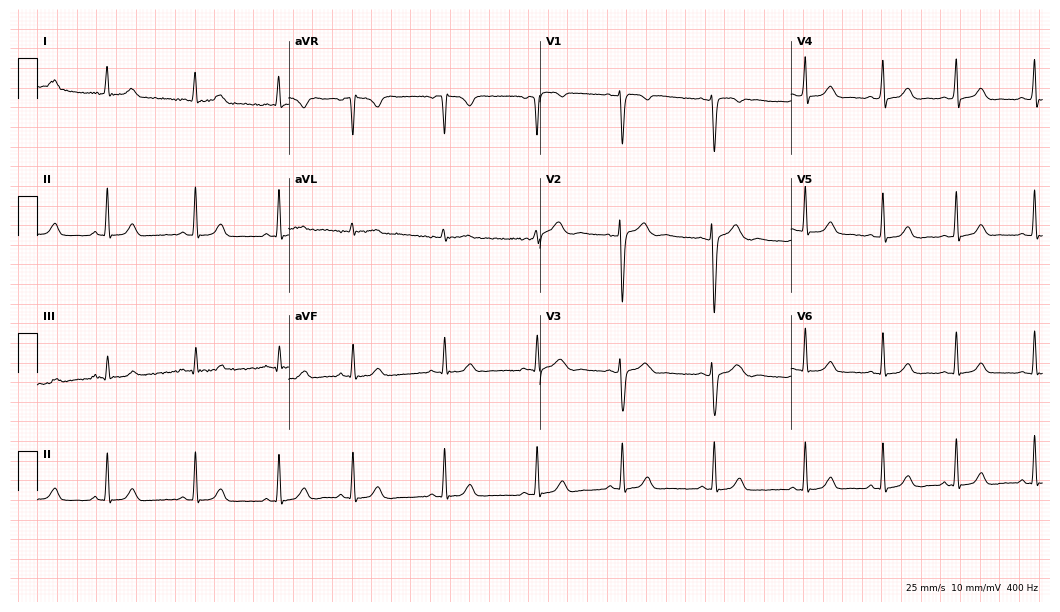
Resting 12-lead electrocardiogram. Patient: a female, 37 years old. None of these six findings is recorded: first-degree AV block, right bundle branch block (RBBB), left bundle branch block (LBBB), sinus bradycardia, atrial fibrillation (AF), sinus tachycardia.